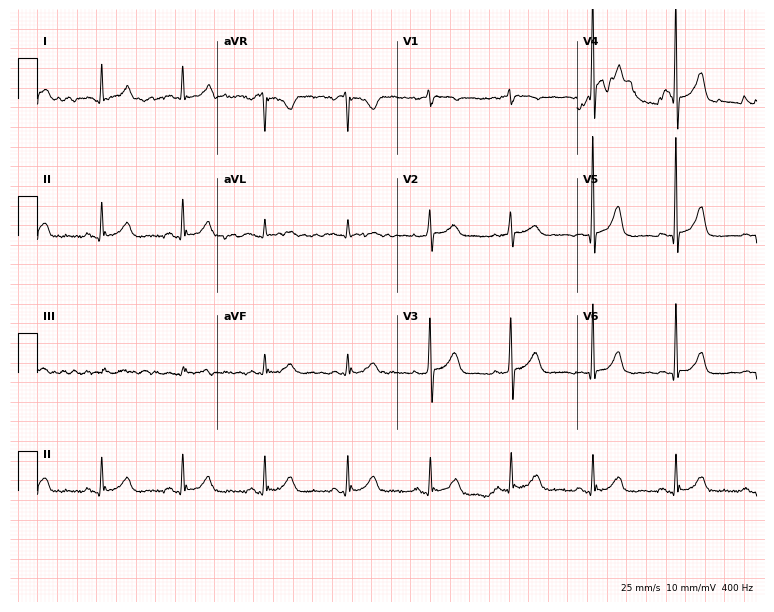
12-lead ECG from a female patient, 80 years old. Recorded interpretation: within normal limits.